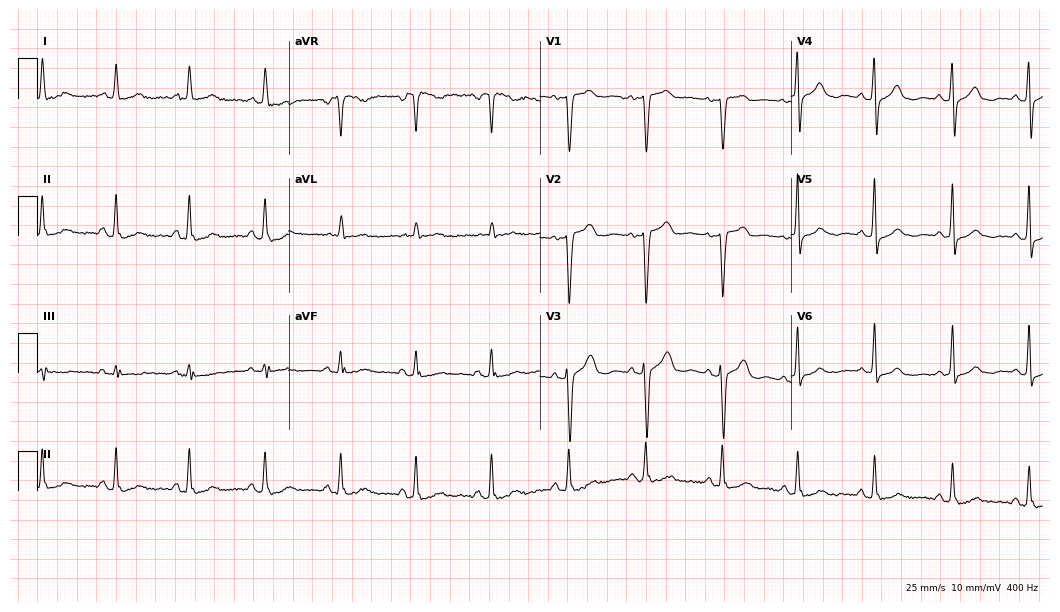
Electrocardiogram, a female patient, 67 years old. Of the six screened findings (first-degree AV block, right bundle branch block (RBBB), left bundle branch block (LBBB), sinus bradycardia, atrial fibrillation (AF), sinus tachycardia), none is recorded. Other findings, if any, are not listed.